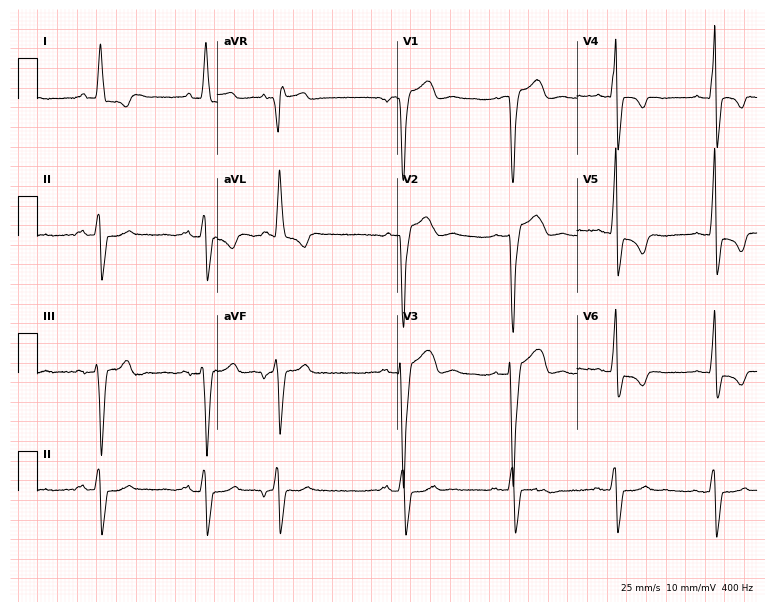
12-lead ECG from an 80-year-old male. Findings include left bundle branch block.